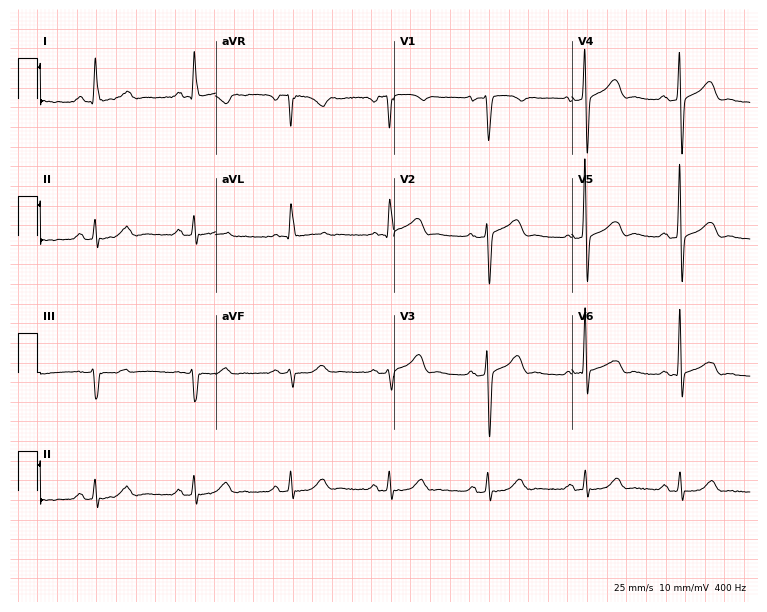
Resting 12-lead electrocardiogram. Patient: a male, 78 years old. None of these six findings is recorded: first-degree AV block, right bundle branch block (RBBB), left bundle branch block (LBBB), sinus bradycardia, atrial fibrillation (AF), sinus tachycardia.